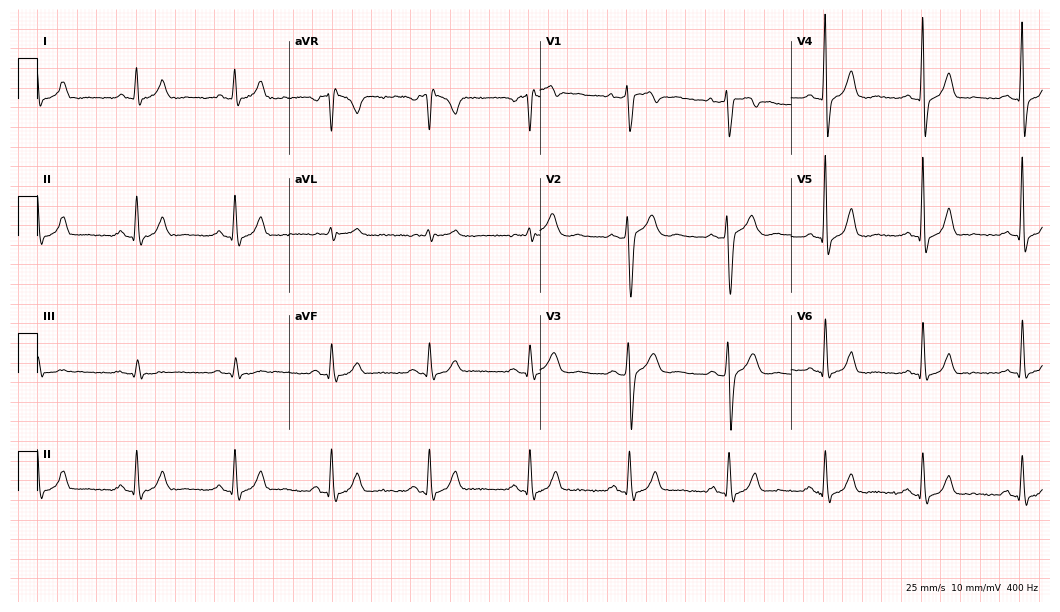
12-lead ECG from a man, 29 years old. No first-degree AV block, right bundle branch block (RBBB), left bundle branch block (LBBB), sinus bradycardia, atrial fibrillation (AF) or sinus tachycardia recorded for this tracing.